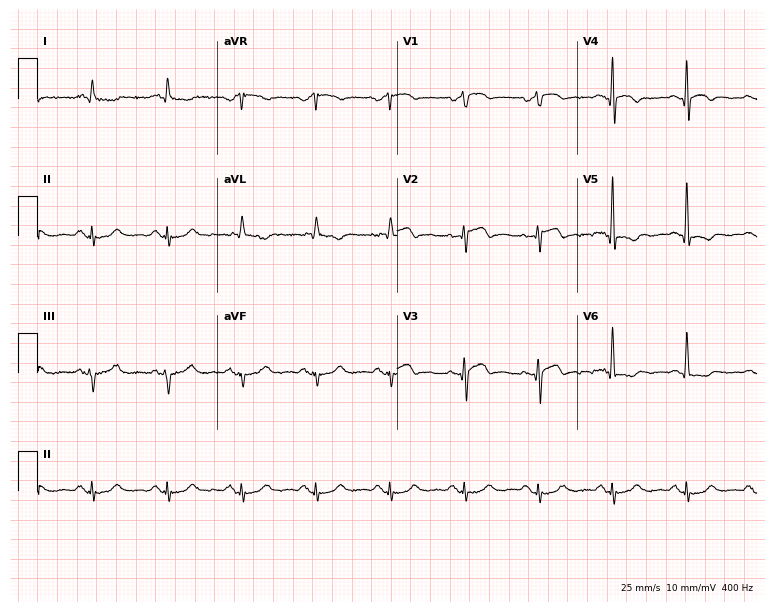
ECG (7.3-second recording at 400 Hz) — a 77-year-old man. Screened for six findings — first-degree AV block, right bundle branch block, left bundle branch block, sinus bradycardia, atrial fibrillation, sinus tachycardia — none is recorded.